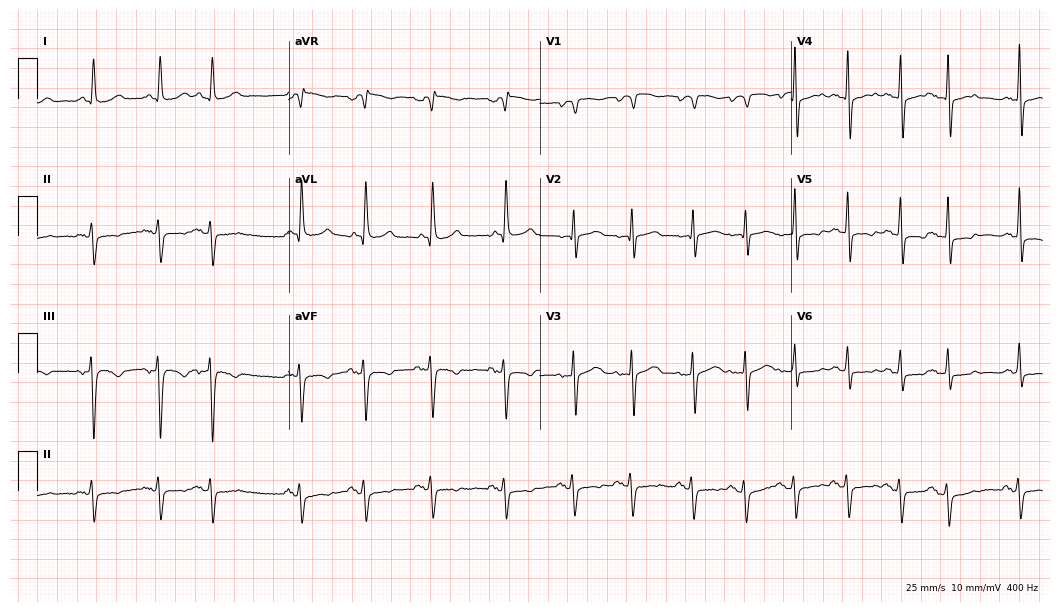
Standard 12-lead ECG recorded from an 80-year-old female patient (10.2-second recording at 400 Hz). None of these six findings is recorded: first-degree AV block, right bundle branch block, left bundle branch block, sinus bradycardia, atrial fibrillation, sinus tachycardia.